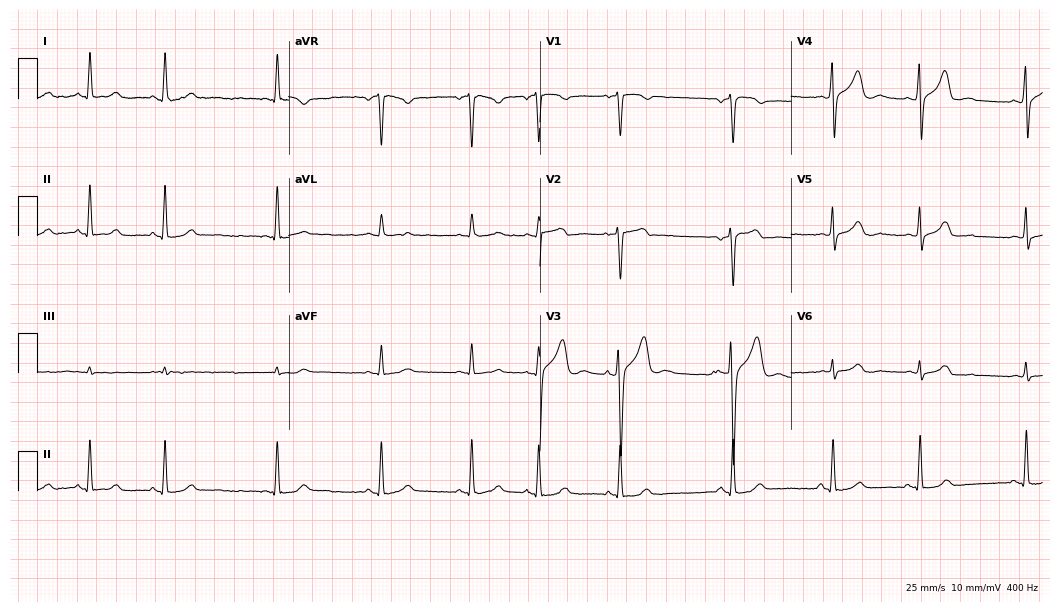
Resting 12-lead electrocardiogram (10.2-second recording at 400 Hz). Patient: a 58-year-old female. None of these six findings is recorded: first-degree AV block, right bundle branch block, left bundle branch block, sinus bradycardia, atrial fibrillation, sinus tachycardia.